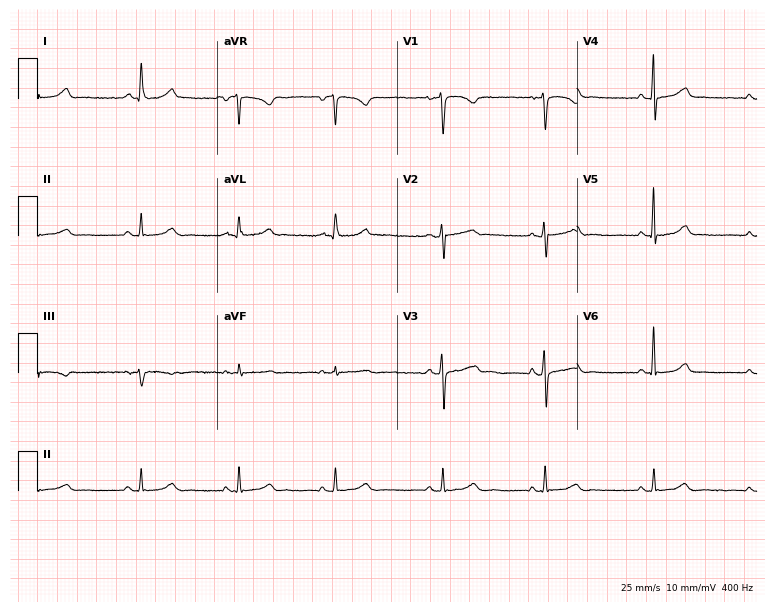
Standard 12-lead ECG recorded from a female, 48 years old. Read as a normal ECG.